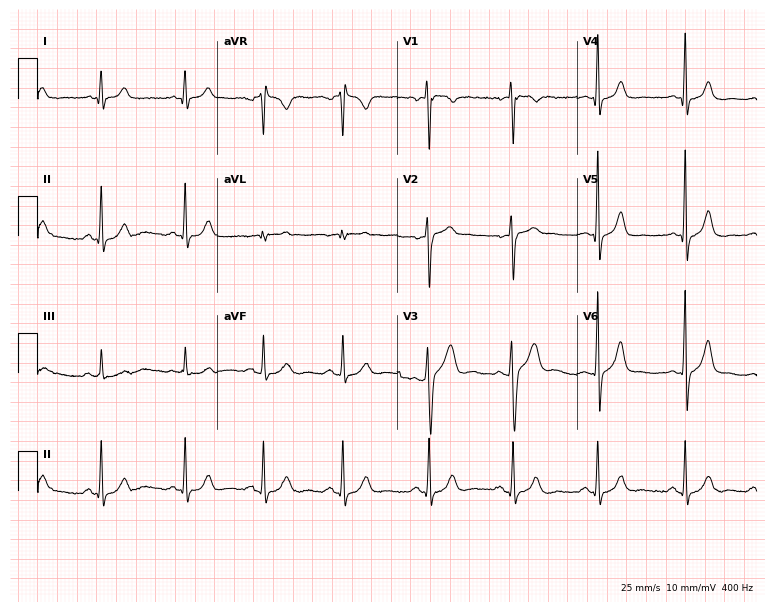
12-lead ECG from a male, 20 years old. Recorded interpretation: within normal limits.